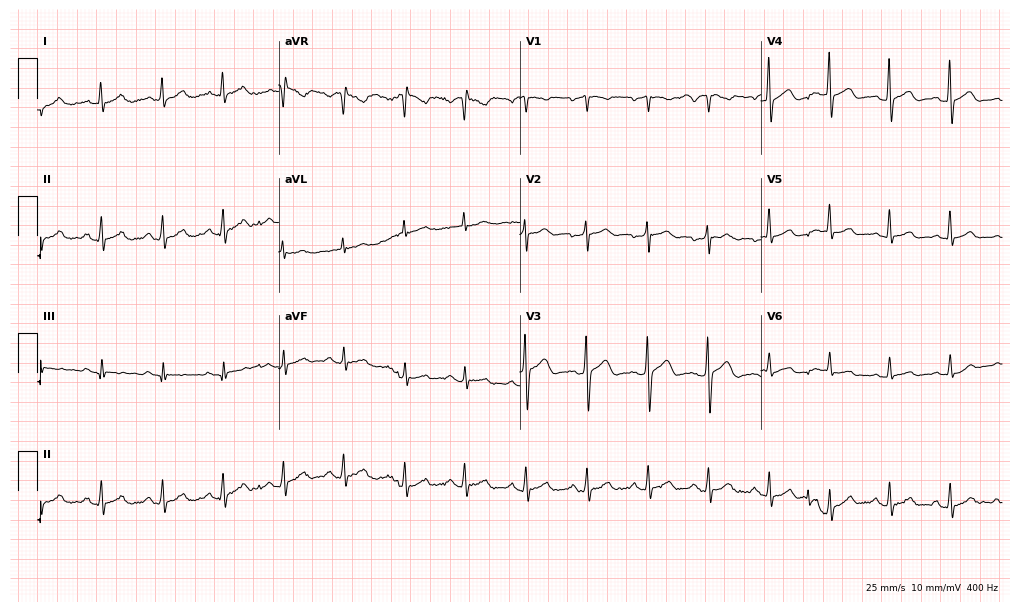
ECG (9.8-second recording at 400 Hz) — a man, 33 years old. Screened for six findings — first-degree AV block, right bundle branch block (RBBB), left bundle branch block (LBBB), sinus bradycardia, atrial fibrillation (AF), sinus tachycardia — none is recorded. Other findings, if any, are not listed.